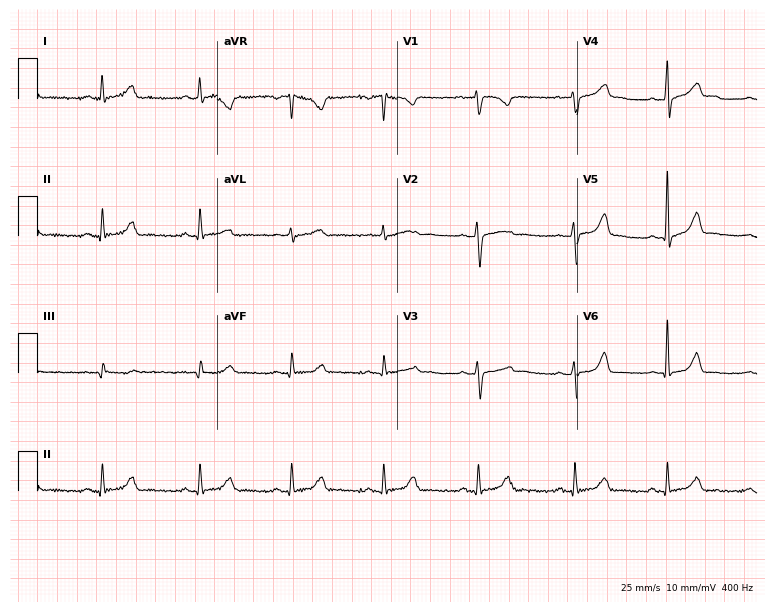
Electrocardiogram, a 45-year-old female. Overall reading on record: normal ECG.